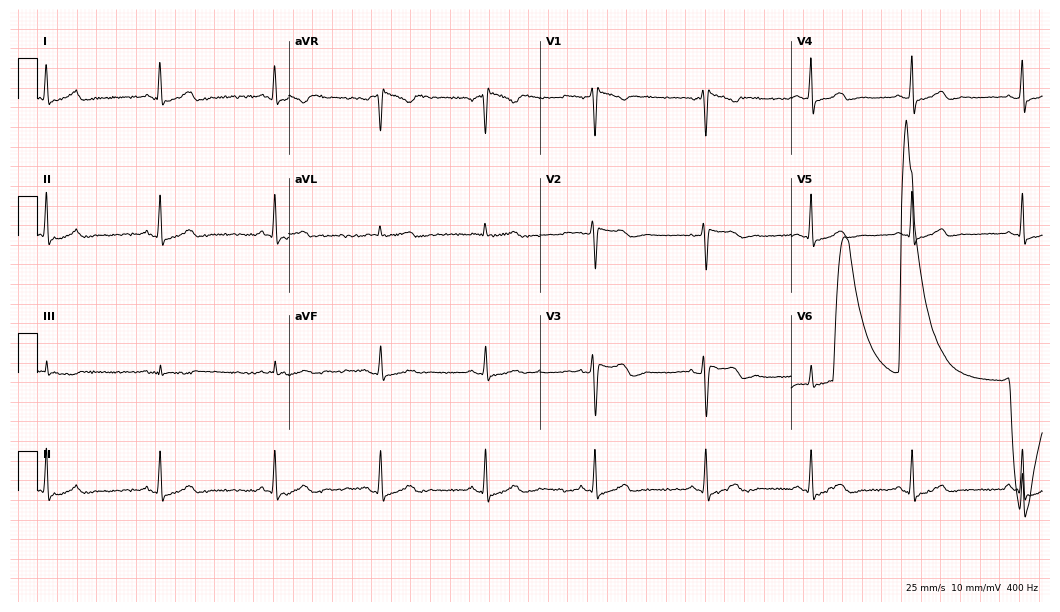
Standard 12-lead ECG recorded from a woman, 57 years old (10.2-second recording at 400 Hz). None of these six findings is recorded: first-degree AV block, right bundle branch block, left bundle branch block, sinus bradycardia, atrial fibrillation, sinus tachycardia. Only these six findings were labelled.